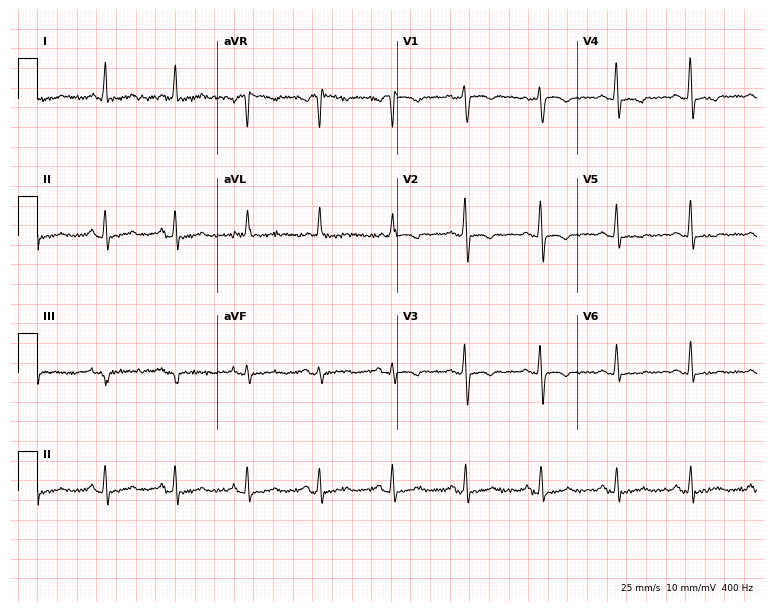
Resting 12-lead electrocardiogram (7.3-second recording at 400 Hz). Patient: a woman, 44 years old. None of these six findings is recorded: first-degree AV block, right bundle branch block, left bundle branch block, sinus bradycardia, atrial fibrillation, sinus tachycardia. Only these six findings were labelled.